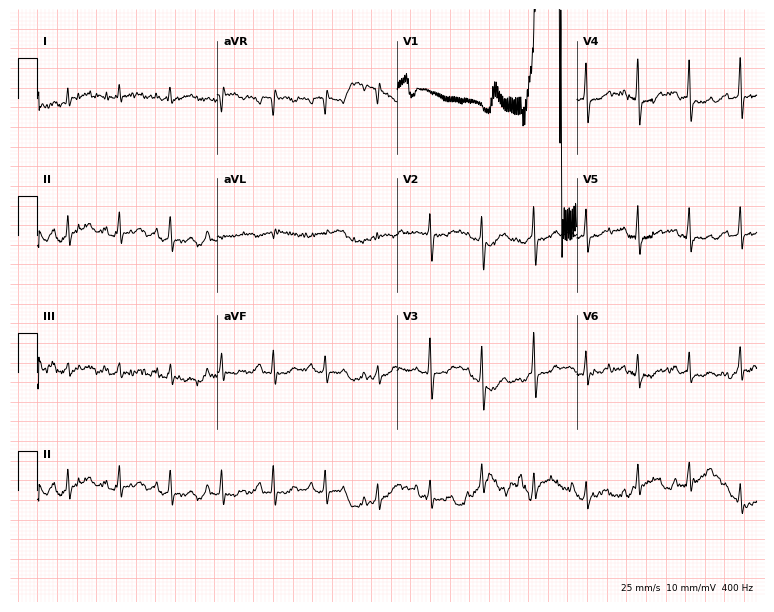
ECG (7.3-second recording at 400 Hz) — a male patient, 79 years old. Findings include sinus tachycardia (a sinus rate of 100 beats per minute or more).